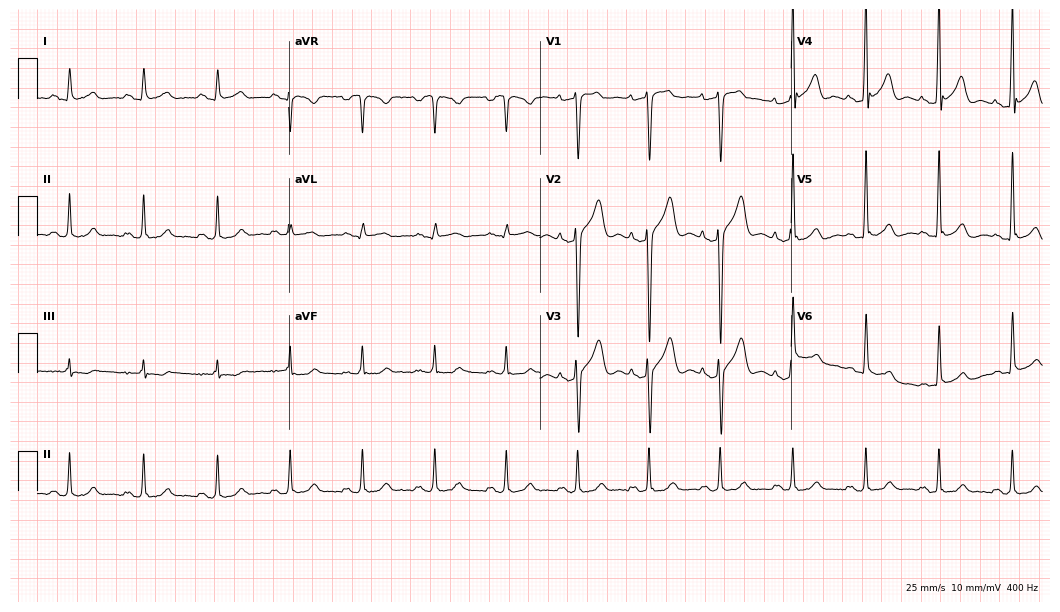
Electrocardiogram (10.2-second recording at 400 Hz), a male, 30 years old. Of the six screened findings (first-degree AV block, right bundle branch block, left bundle branch block, sinus bradycardia, atrial fibrillation, sinus tachycardia), none is recorded.